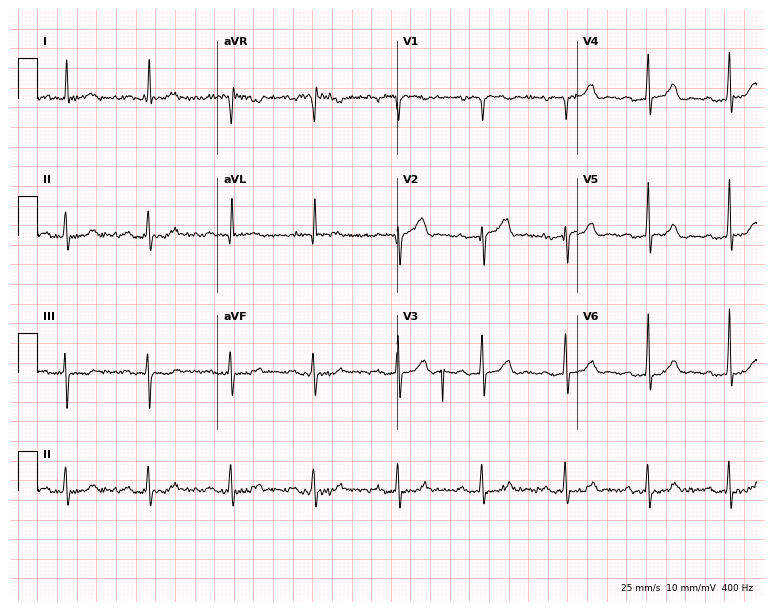
Electrocardiogram (7.3-second recording at 400 Hz), a 76-year-old male. Interpretation includes first-degree AV block.